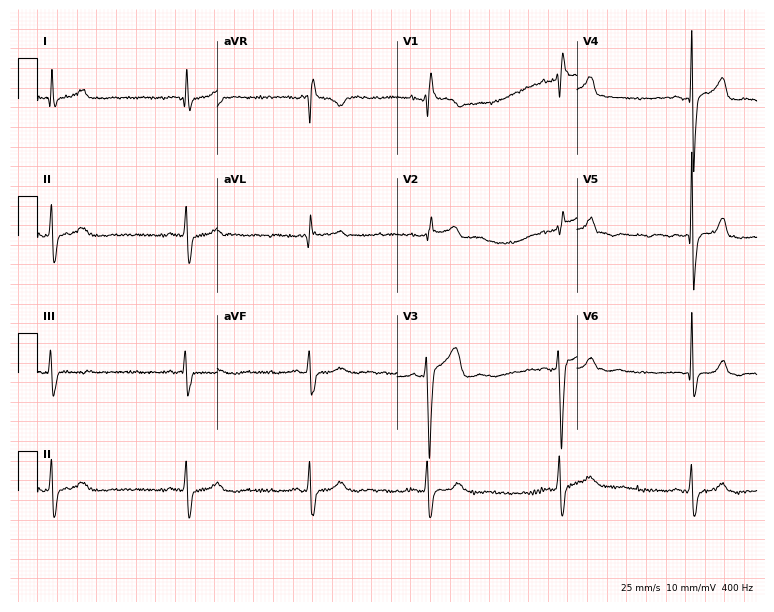
12-lead ECG (7.3-second recording at 400 Hz) from a male, 31 years old. Findings include right bundle branch block.